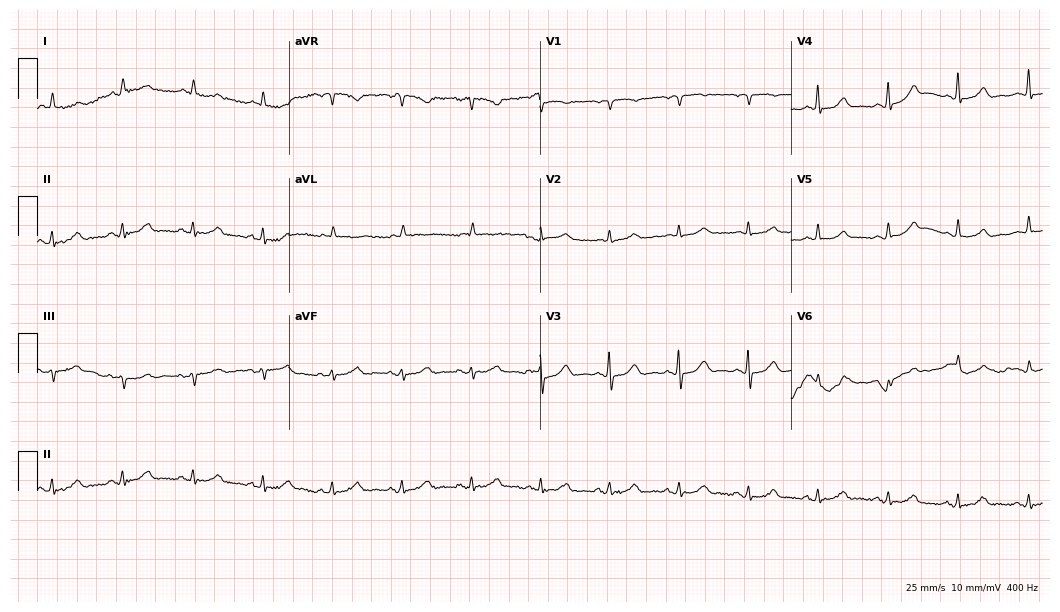
12-lead ECG (10.2-second recording at 400 Hz) from a female patient, 84 years old. Screened for six findings — first-degree AV block, right bundle branch block, left bundle branch block, sinus bradycardia, atrial fibrillation, sinus tachycardia — none is recorded. Only these six findings were labelled.